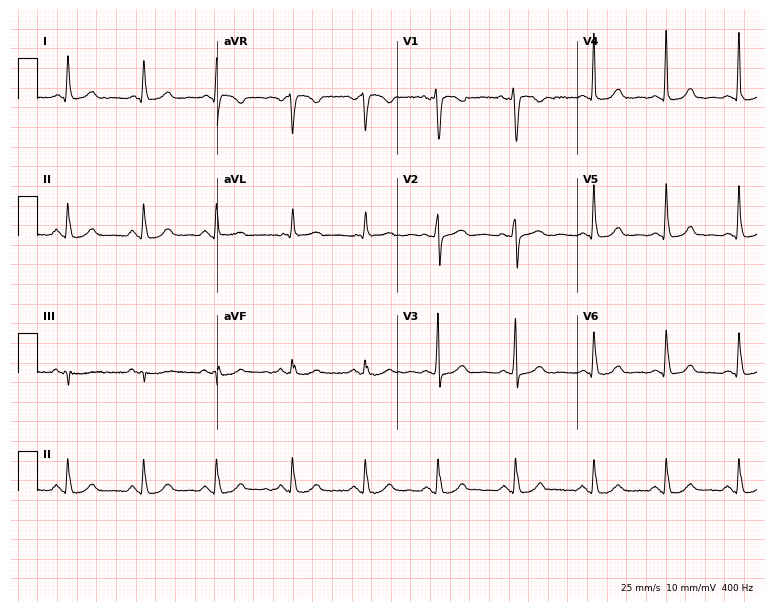
12-lead ECG (7.3-second recording at 400 Hz) from a 54-year-old female patient. Labelled as a normal ECG.